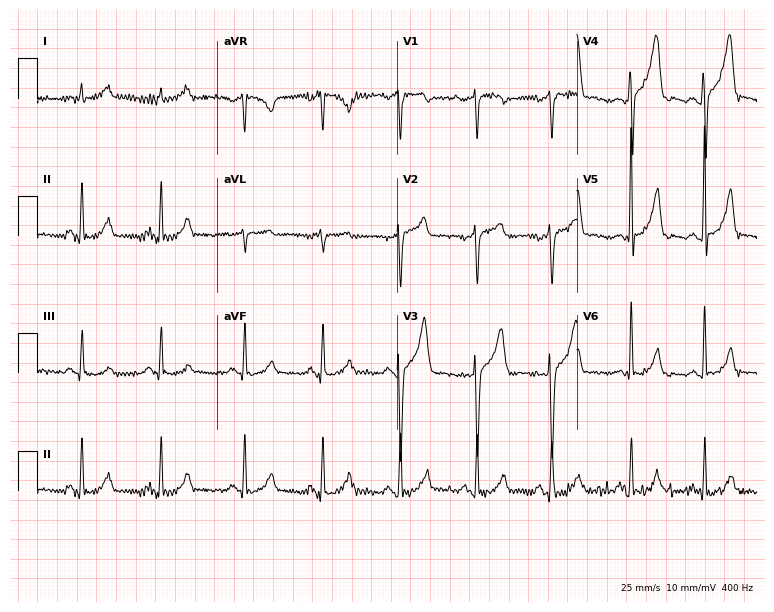
12-lead ECG from a 43-year-old man (7.3-second recording at 400 Hz). No first-degree AV block, right bundle branch block (RBBB), left bundle branch block (LBBB), sinus bradycardia, atrial fibrillation (AF) or sinus tachycardia recorded for this tracing.